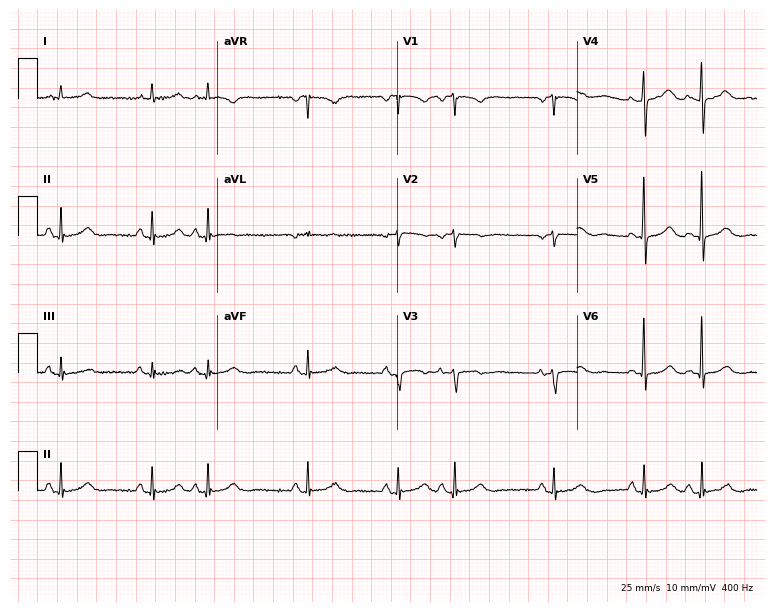
Standard 12-lead ECG recorded from a female patient, 71 years old (7.3-second recording at 400 Hz). None of these six findings is recorded: first-degree AV block, right bundle branch block, left bundle branch block, sinus bradycardia, atrial fibrillation, sinus tachycardia. Other findings, if any, are not listed.